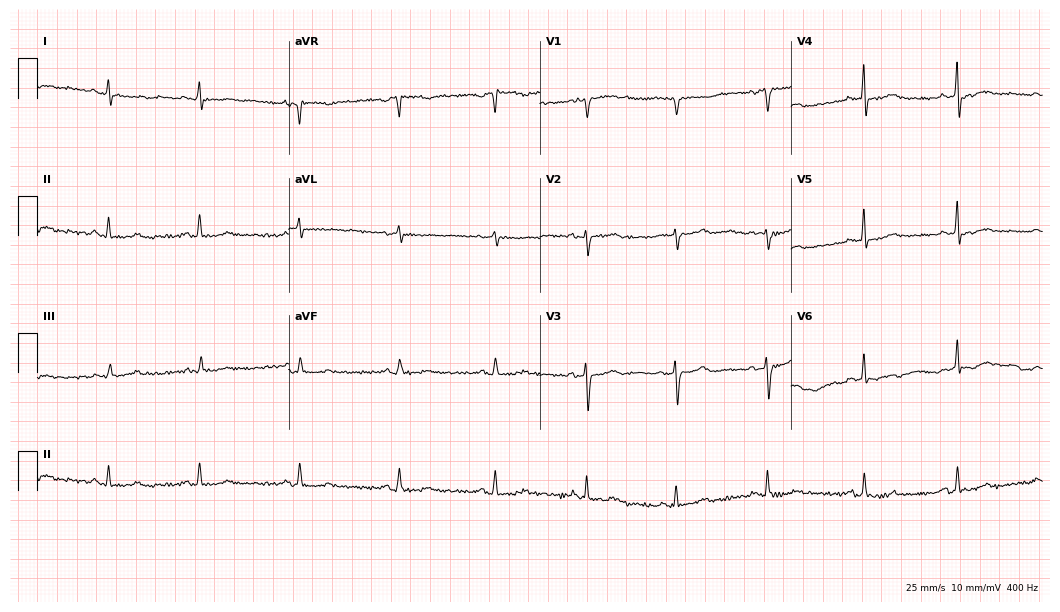
ECG — a 71-year-old woman. Screened for six findings — first-degree AV block, right bundle branch block, left bundle branch block, sinus bradycardia, atrial fibrillation, sinus tachycardia — none is recorded.